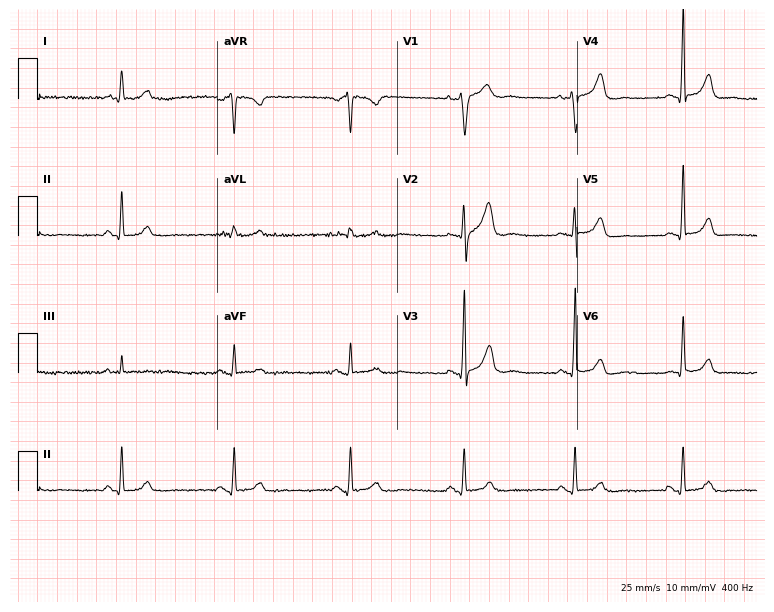
12-lead ECG from a 48-year-old male patient. No first-degree AV block, right bundle branch block (RBBB), left bundle branch block (LBBB), sinus bradycardia, atrial fibrillation (AF) or sinus tachycardia recorded for this tracing. Findings outside these six are not listed.